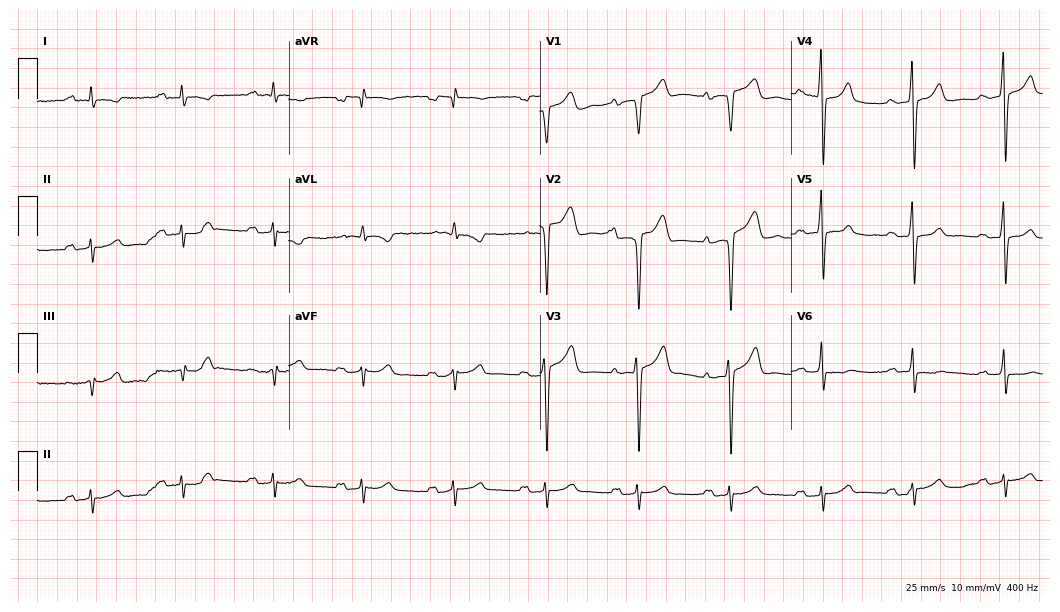
12-lead ECG from a male patient, 66 years old. Findings include first-degree AV block.